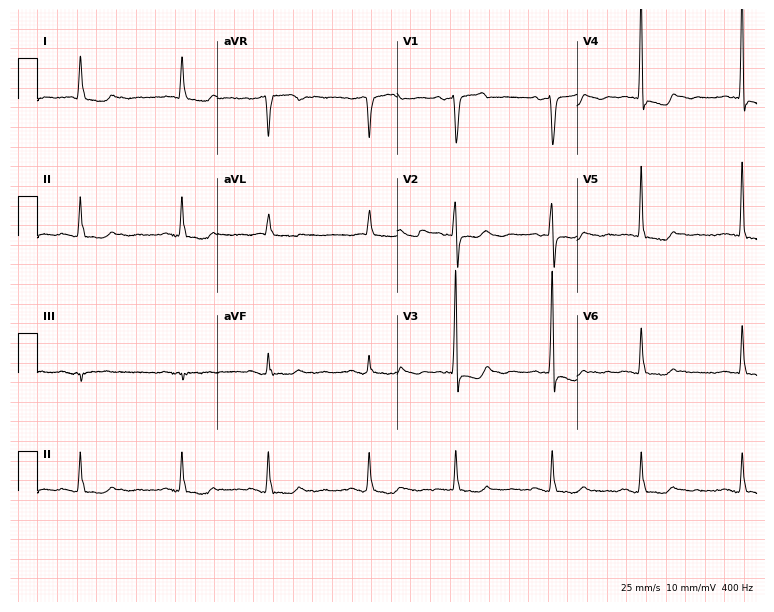
ECG — a 67-year-old female. Screened for six findings — first-degree AV block, right bundle branch block, left bundle branch block, sinus bradycardia, atrial fibrillation, sinus tachycardia — none is recorded.